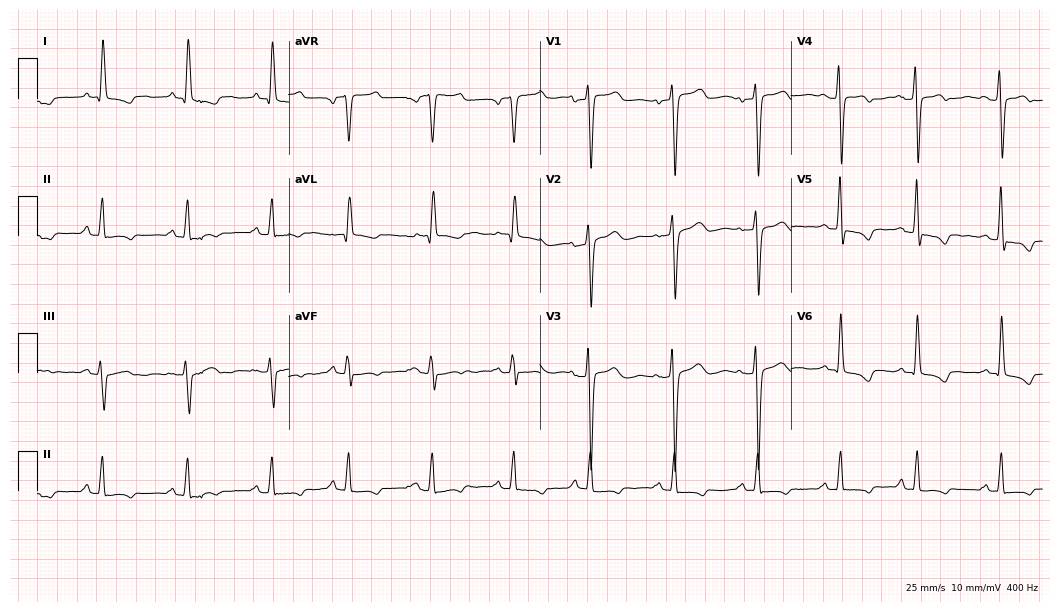
12-lead ECG (10.2-second recording at 400 Hz) from a 61-year-old woman. Screened for six findings — first-degree AV block, right bundle branch block, left bundle branch block, sinus bradycardia, atrial fibrillation, sinus tachycardia — none is recorded.